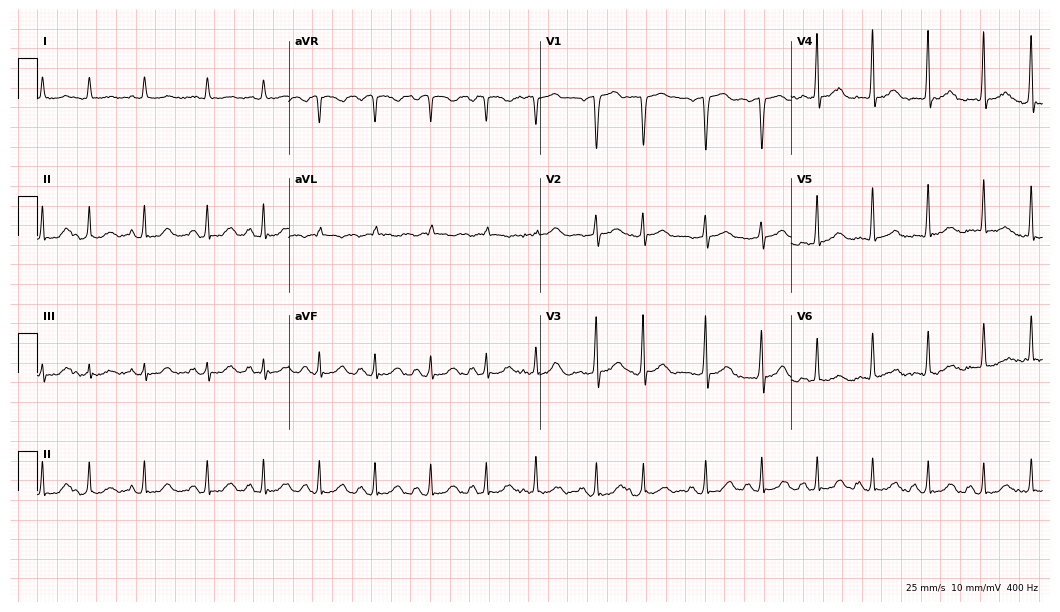
Resting 12-lead electrocardiogram. Patient: a male, 64 years old. None of these six findings is recorded: first-degree AV block, right bundle branch block (RBBB), left bundle branch block (LBBB), sinus bradycardia, atrial fibrillation (AF), sinus tachycardia.